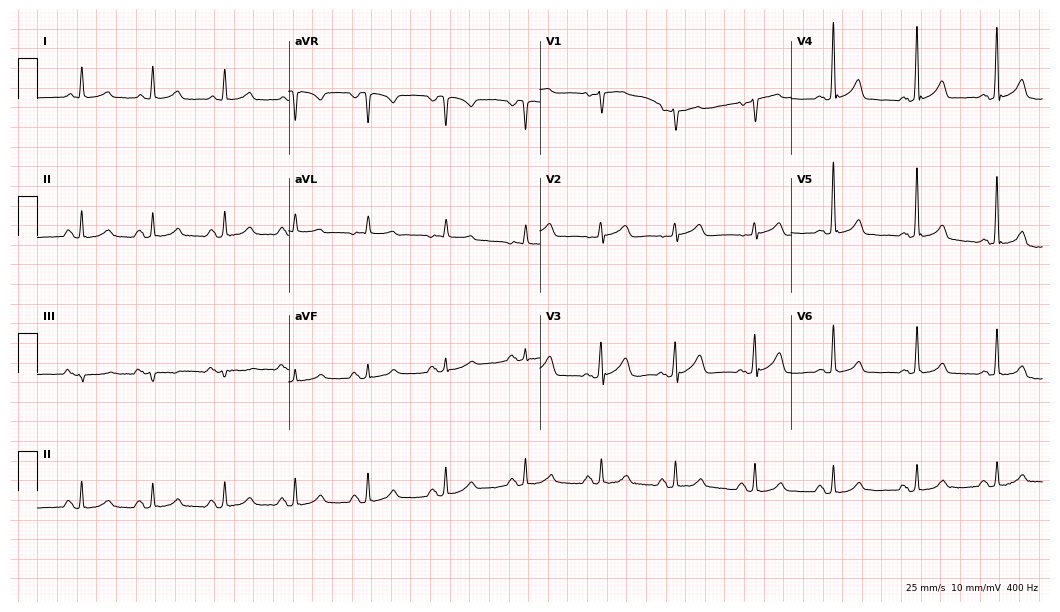
Standard 12-lead ECG recorded from a 64-year-old woman (10.2-second recording at 400 Hz). Read as a normal ECG.